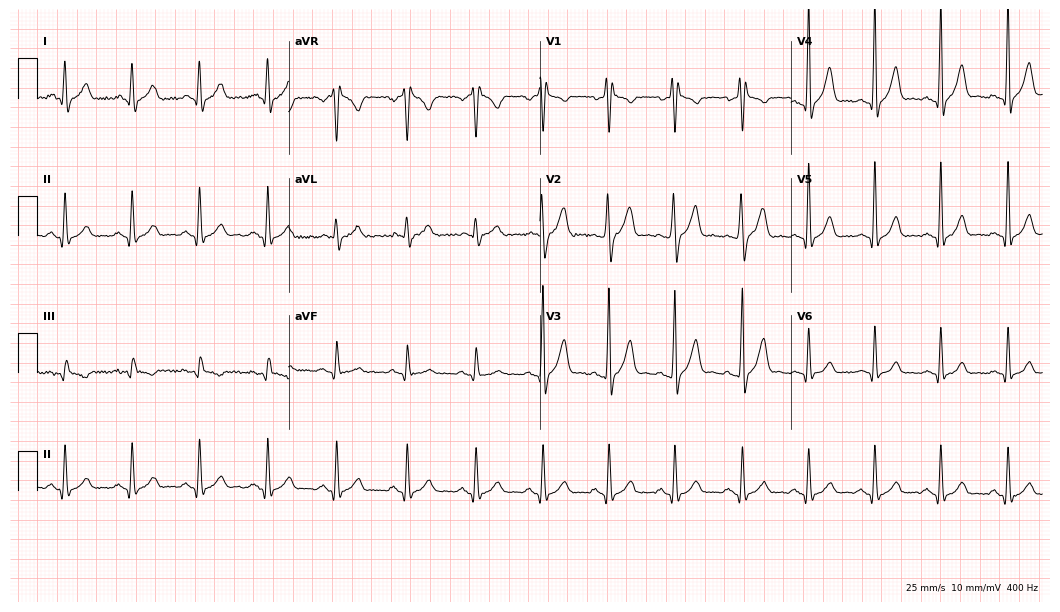
12-lead ECG from a 43-year-old male. No first-degree AV block, right bundle branch block, left bundle branch block, sinus bradycardia, atrial fibrillation or sinus tachycardia recorded for this tracing.